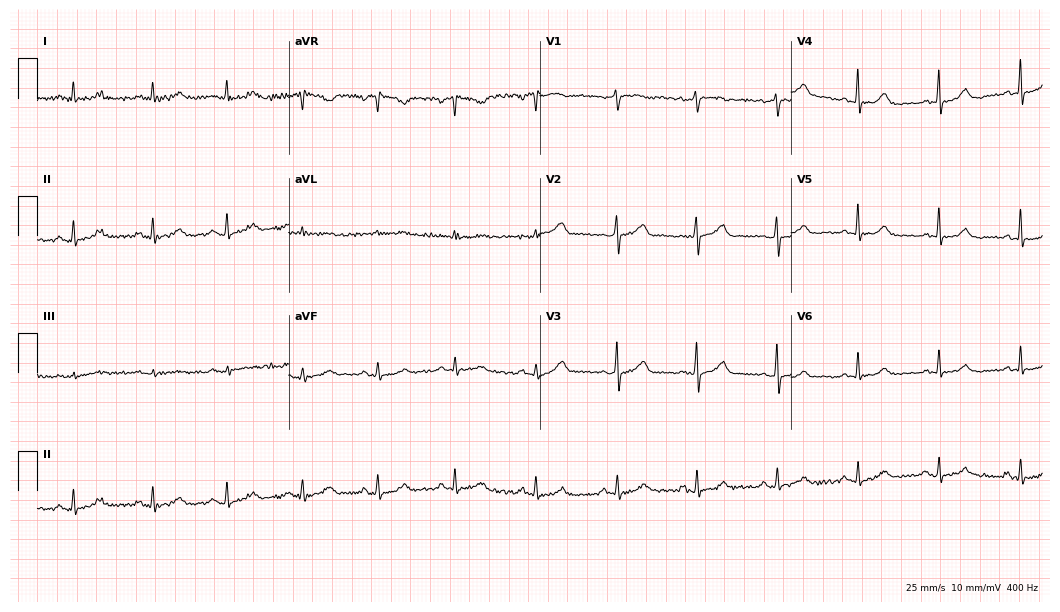
ECG (10.2-second recording at 400 Hz) — a woman, 45 years old. Screened for six findings — first-degree AV block, right bundle branch block, left bundle branch block, sinus bradycardia, atrial fibrillation, sinus tachycardia — none is recorded. Only these six findings were labelled.